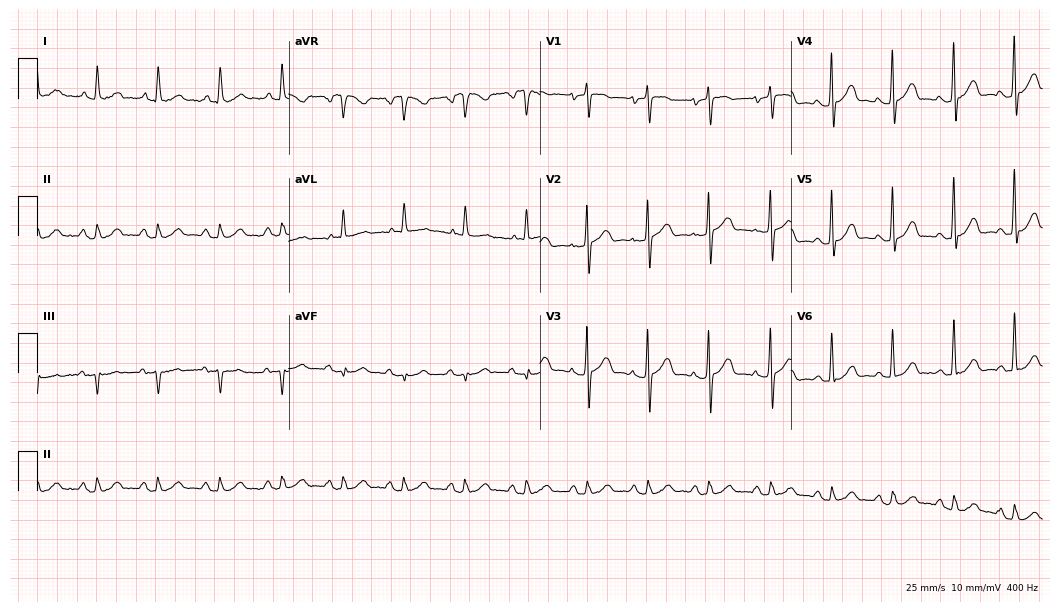
ECG (10.2-second recording at 400 Hz) — a man, 66 years old. Screened for six findings — first-degree AV block, right bundle branch block (RBBB), left bundle branch block (LBBB), sinus bradycardia, atrial fibrillation (AF), sinus tachycardia — none is recorded. Only these six findings were labelled.